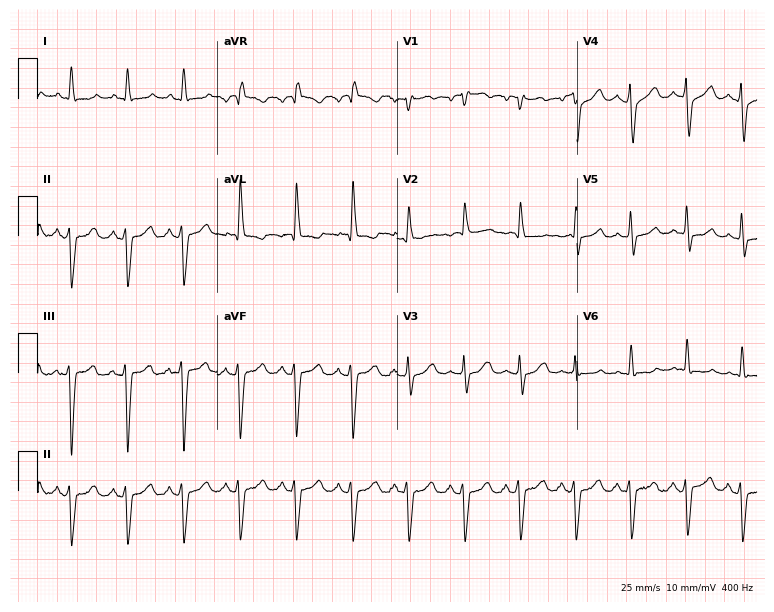
Resting 12-lead electrocardiogram (7.3-second recording at 400 Hz). Patient: a female, 76 years old. The tracing shows sinus tachycardia (a sinus rate of 100 beats per minute or more).